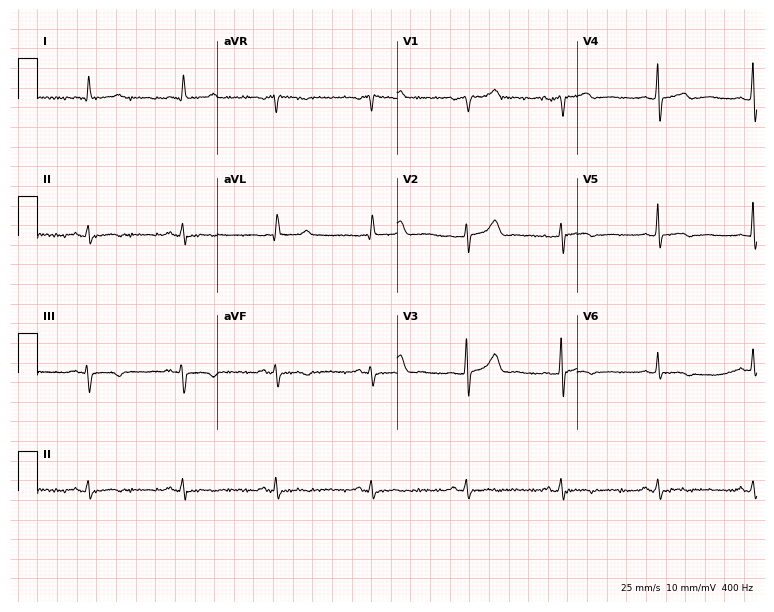
Standard 12-lead ECG recorded from a female patient, 61 years old. None of these six findings is recorded: first-degree AV block, right bundle branch block, left bundle branch block, sinus bradycardia, atrial fibrillation, sinus tachycardia.